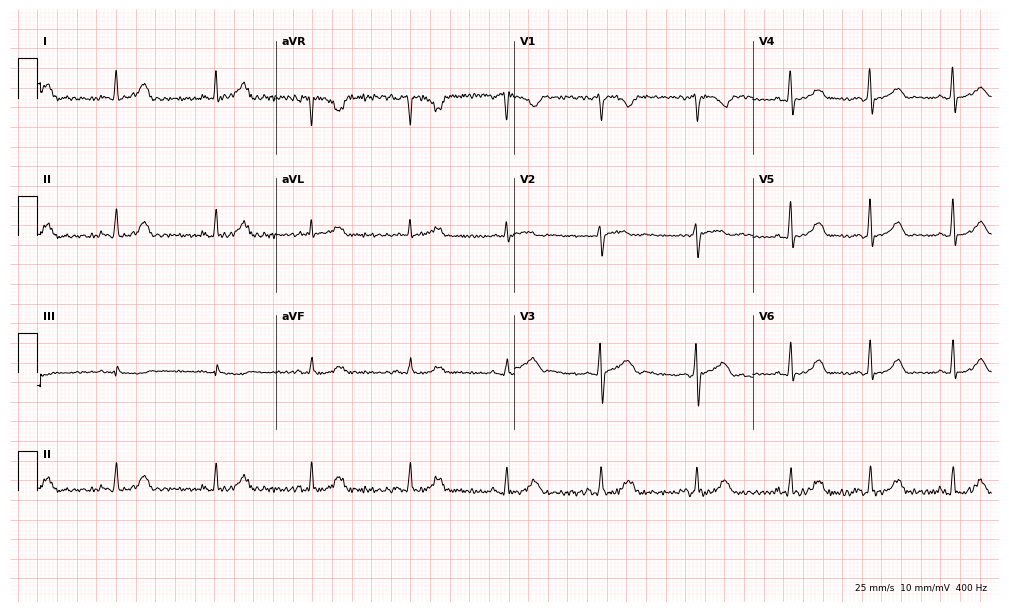
12-lead ECG from a 30-year-old female patient. Recorded interpretation: within normal limits.